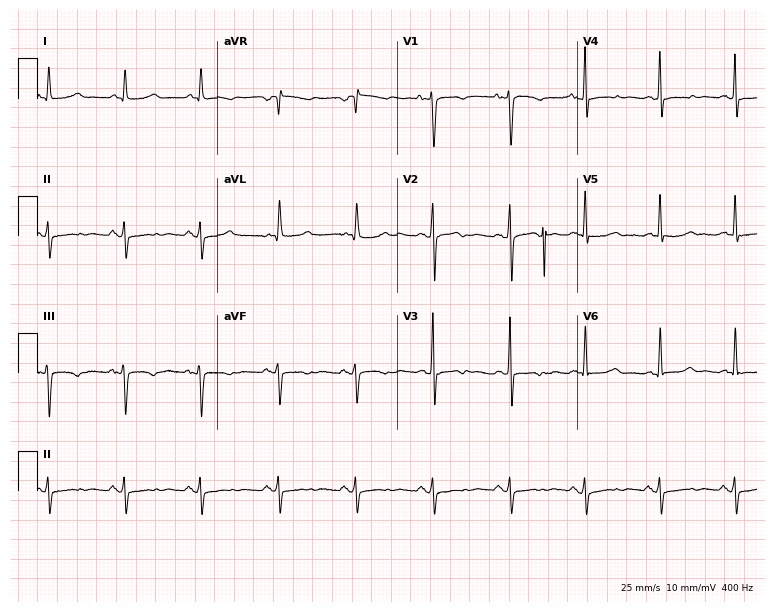
Resting 12-lead electrocardiogram (7.3-second recording at 400 Hz). Patient: a woman, 56 years old. None of these six findings is recorded: first-degree AV block, right bundle branch block, left bundle branch block, sinus bradycardia, atrial fibrillation, sinus tachycardia.